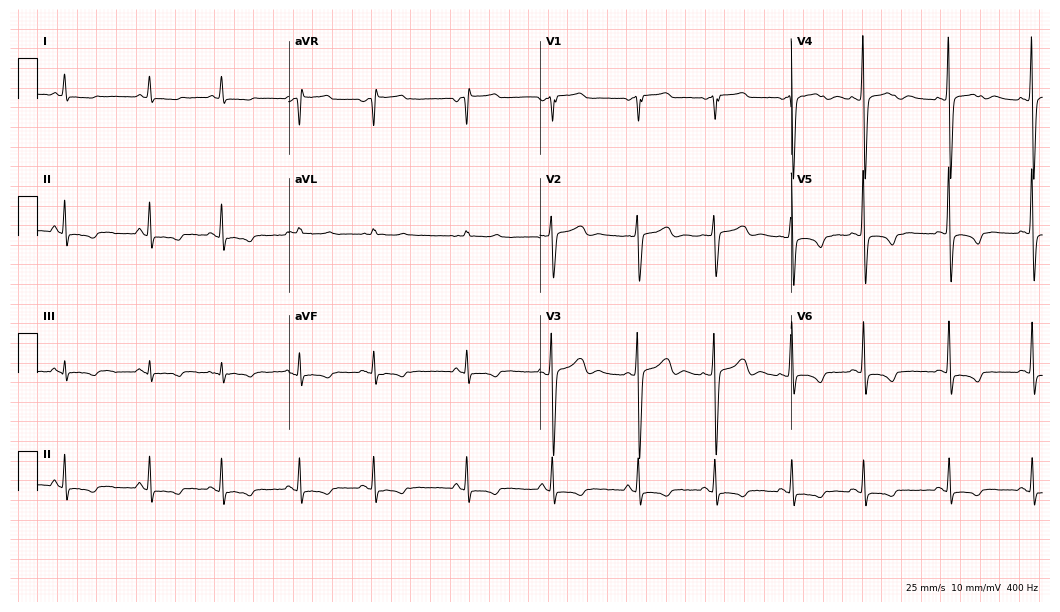
12-lead ECG (10.2-second recording at 400 Hz) from a 62-year-old male patient. Screened for six findings — first-degree AV block, right bundle branch block, left bundle branch block, sinus bradycardia, atrial fibrillation, sinus tachycardia — none is recorded.